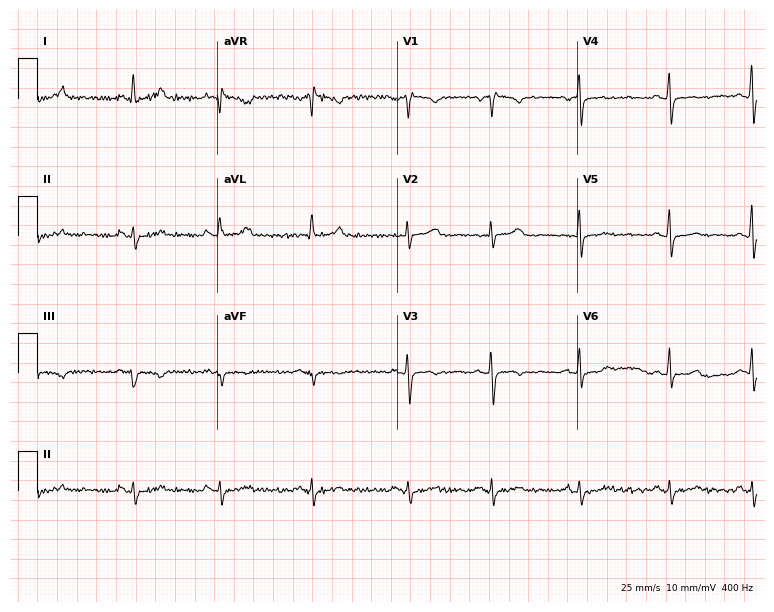
Electrocardiogram, a woman, 32 years old. Of the six screened findings (first-degree AV block, right bundle branch block, left bundle branch block, sinus bradycardia, atrial fibrillation, sinus tachycardia), none is recorded. Only these six findings were labelled.